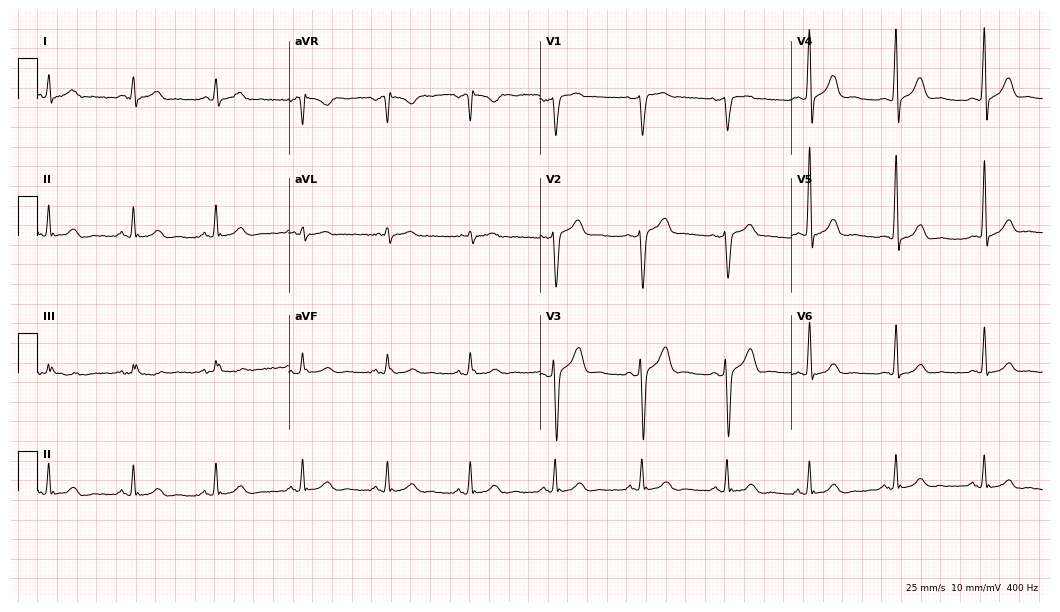
12-lead ECG from a man, 46 years old. Recorded interpretation: within normal limits.